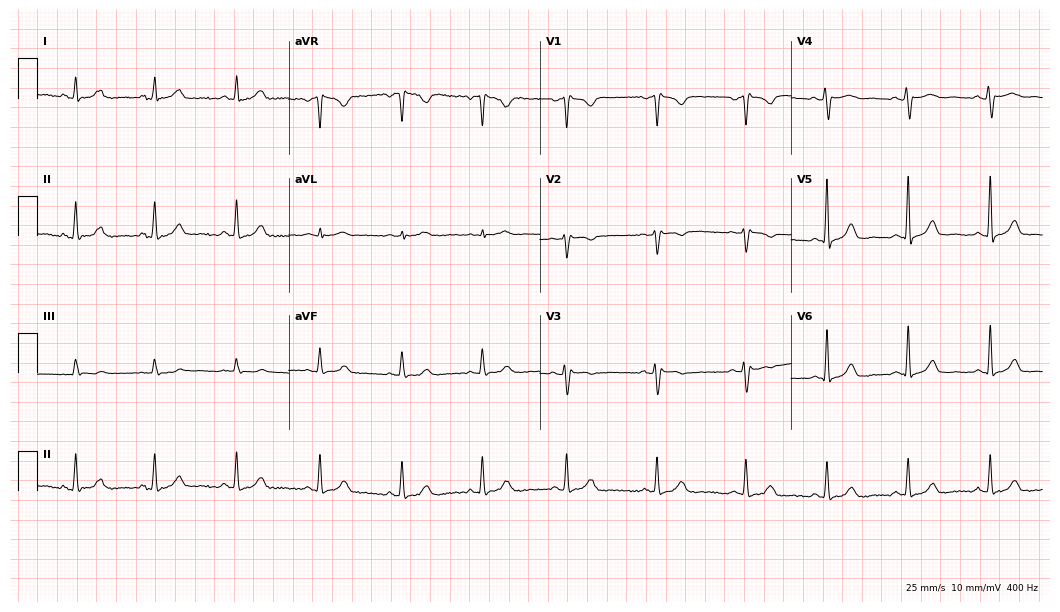
Electrocardiogram (10.2-second recording at 400 Hz), a 44-year-old female patient. Of the six screened findings (first-degree AV block, right bundle branch block, left bundle branch block, sinus bradycardia, atrial fibrillation, sinus tachycardia), none is recorded. Other findings, if any, are not listed.